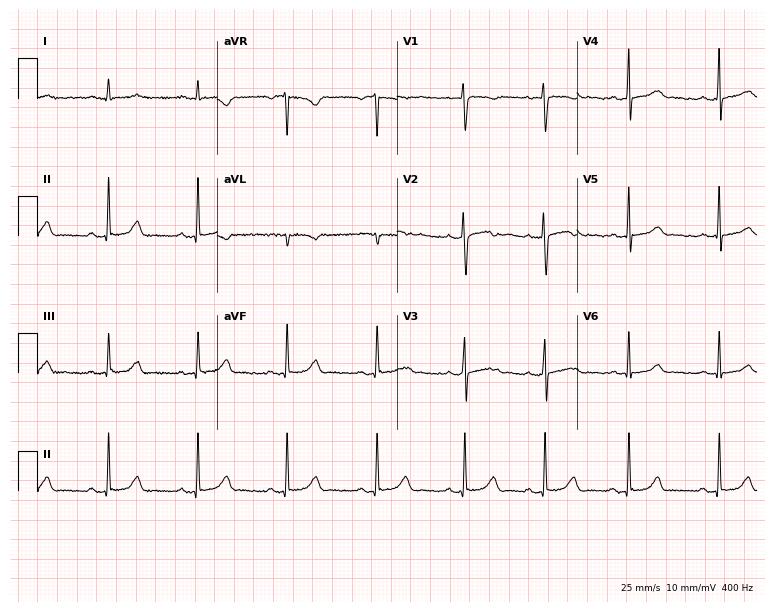
Electrocardiogram (7.3-second recording at 400 Hz), a 20-year-old female patient. Of the six screened findings (first-degree AV block, right bundle branch block, left bundle branch block, sinus bradycardia, atrial fibrillation, sinus tachycardia), none is recorded.